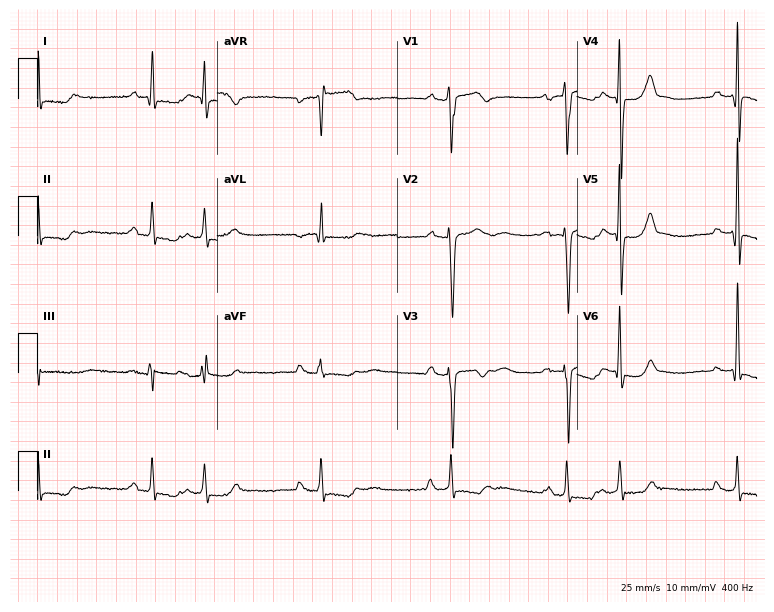
ECG — a man, 60 years old. Findings include first-degree AV block, right bundle branch block (RBBB), sinus bradycardia (a sinus rate of 50 beats per minute or less).